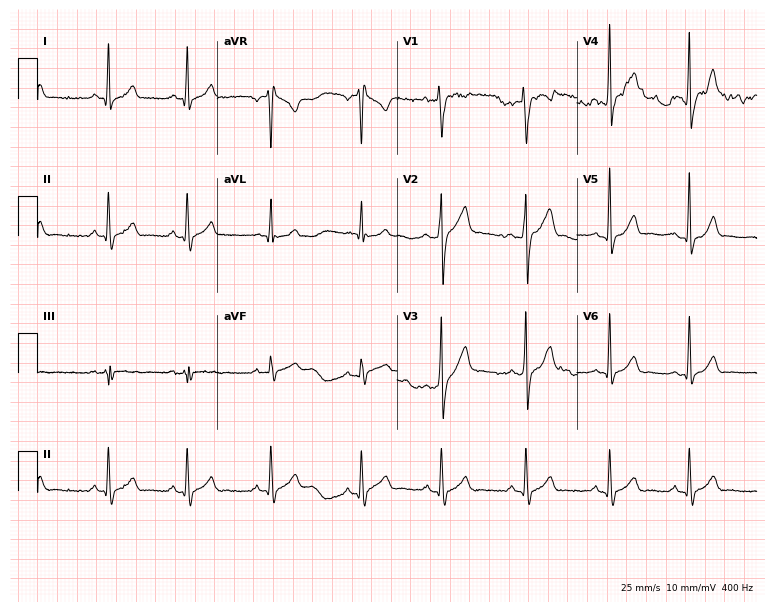
ECG (7.3-second recording at 400 Hz) — a 21-year-old male patient. Labelled as a normal ECG.